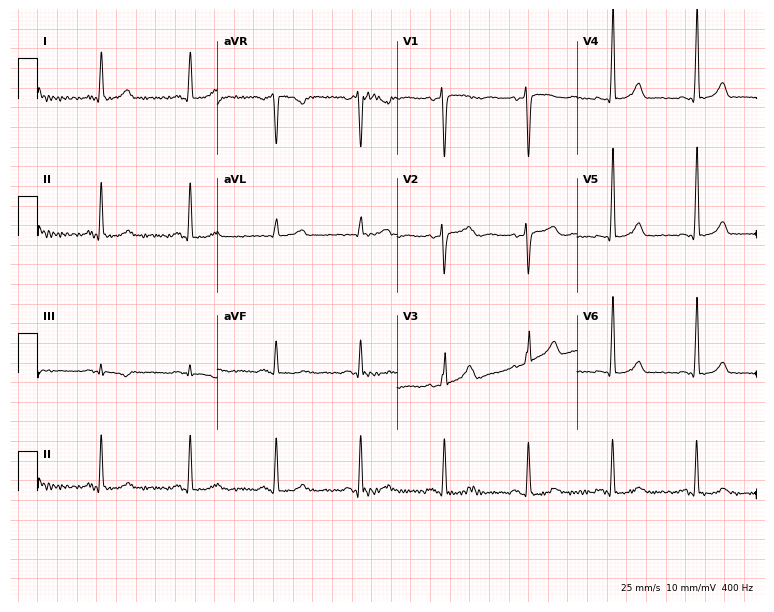
12-lead ECG from a female patient, 40 years old. Screened for six findings — first-degree AV block, right bundle branch block, left bundle branch block, sinus bradycardia, atrial fibrillation, sinus tachycardia — none is recorded.